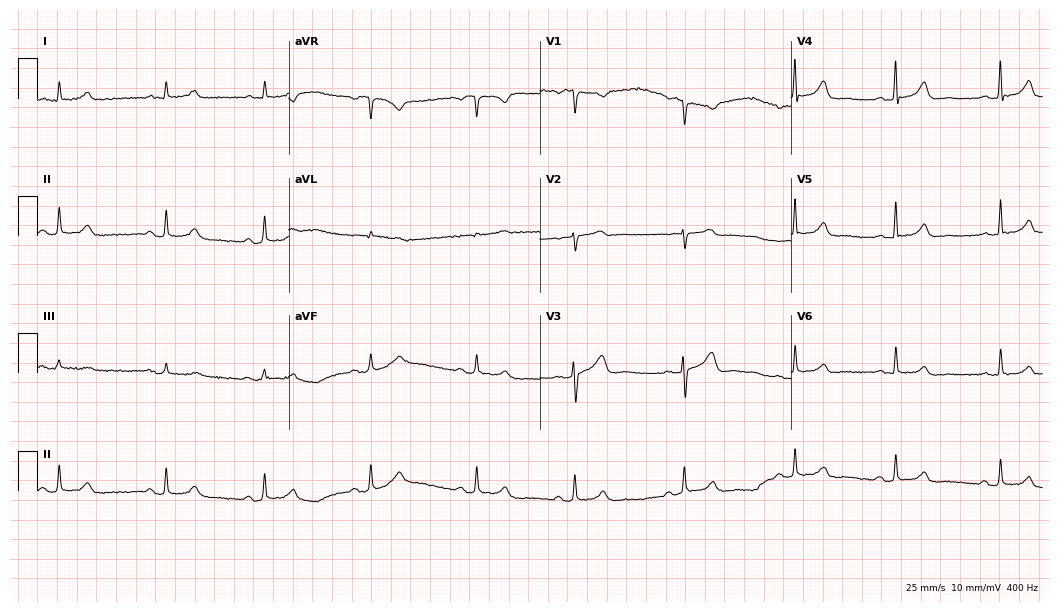
12-lead ECG from a woman, 46 years old. Labelled as a normal ECG.